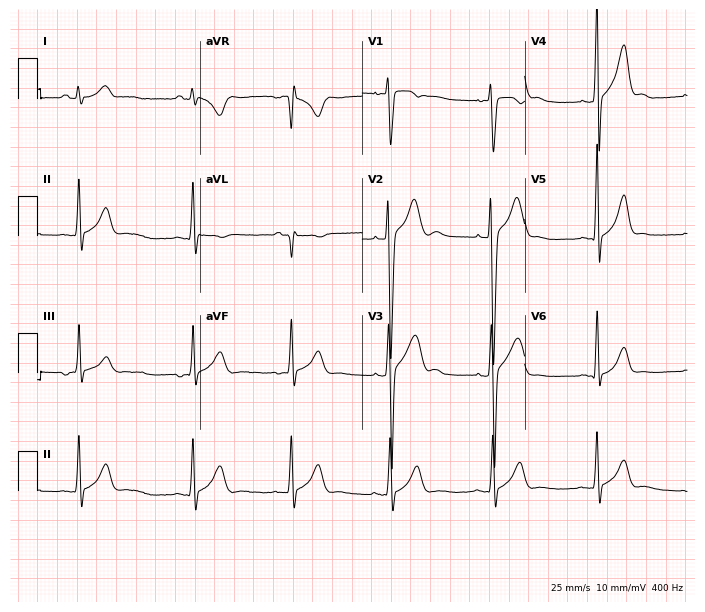
ECG (6.6-second recording at 400 Hz) — an 18-year-old male. Labelled as a normal ECG.